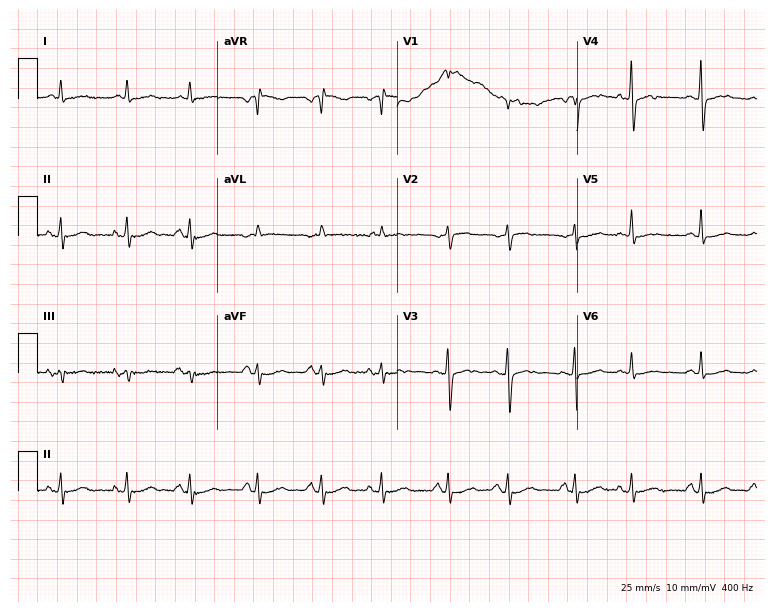
12-lead ECG from a male patient, 84 years old. Recorded interpretation: within normal limits.